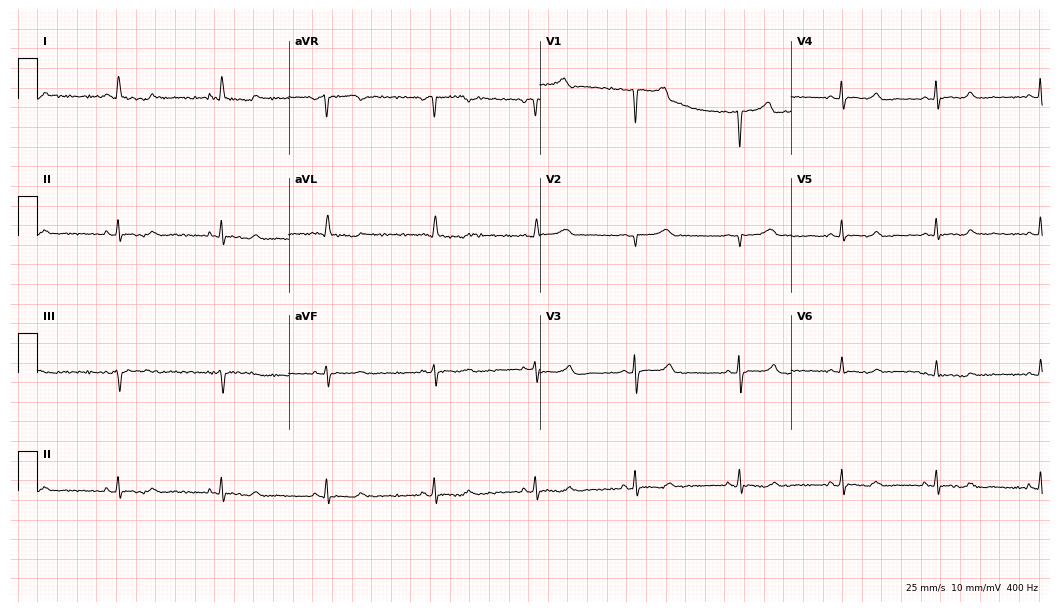
Resting 12-lead electrocardiogram (10.2-second recording at 400 Hz). Patient: a 53-year-old male. None of these six findings is recorded: first-degree AV block, right bundle branch block, left bundle branch block, sinus bradycardia, atrial fibrillation, sinus tachycardia. Findings outside these six are not listed.